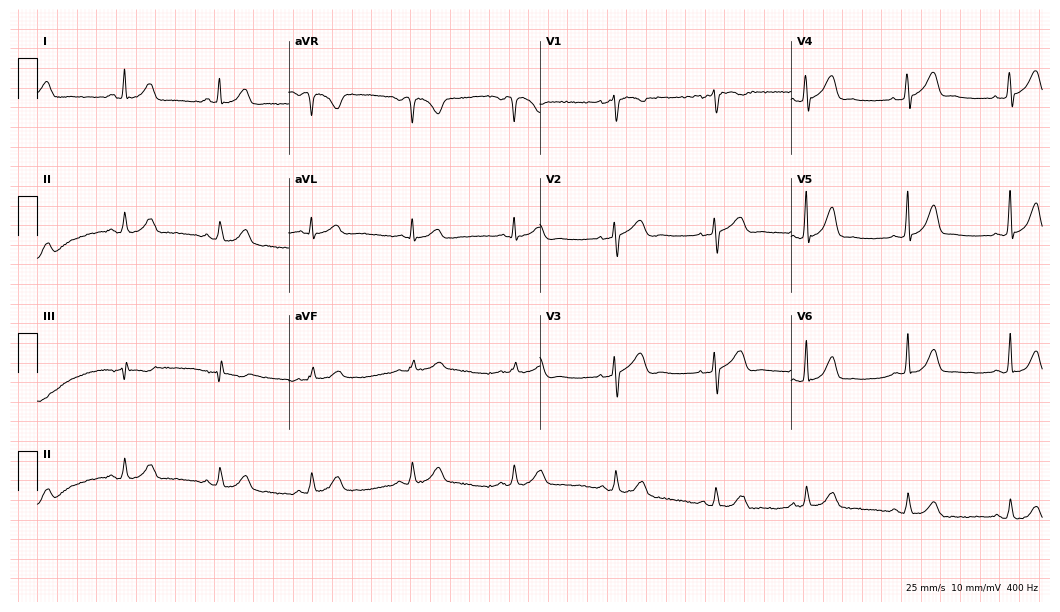
Resting 12-lead electrocardiogram. Patient: a 37-year-old female. None of these six findings is recorded: first-degree AV block, right bundle branch block, left bundle branch block, sinus bradycardia, atrial fibrillation, sinus tachycardia. Only these six findings were labelled.